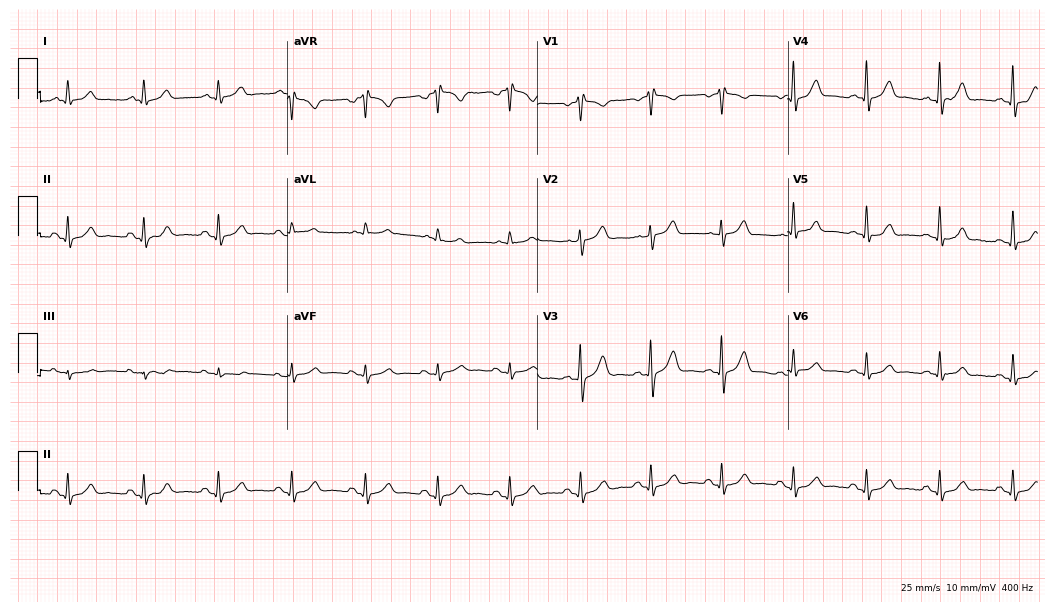
Resting 12-lead electrocardiogram (10.2-second recording at 400 Hz). Patient: a man, 59 years old. None of these six findings is recorded: first-degree AV block, right bundle branch block (RBBB), left bundle branch block (LBBB), sinus bradycardia, atrial fibrillation (AF), sinus tachycardia. Only these six findings were labelled.